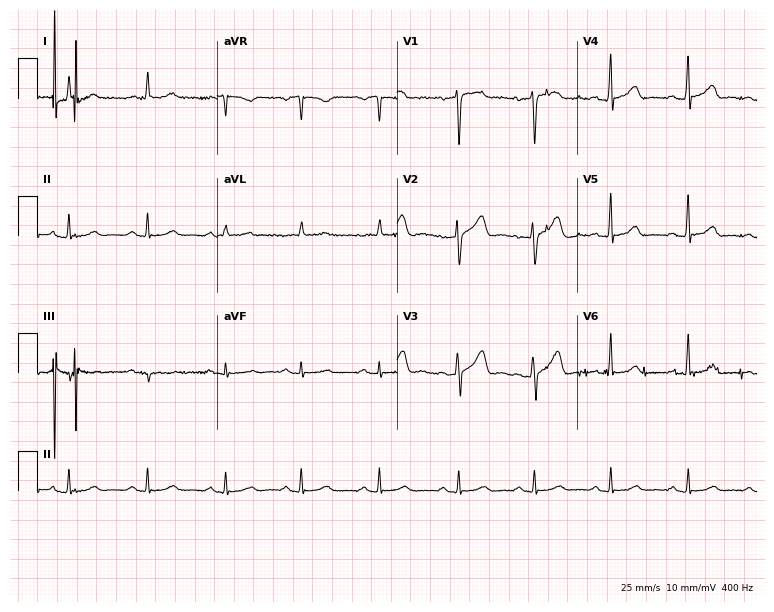
12-lead ECG (7.3-second recording at 400 Hz) from a 51-year-old female. Labelled as a normal ECG.